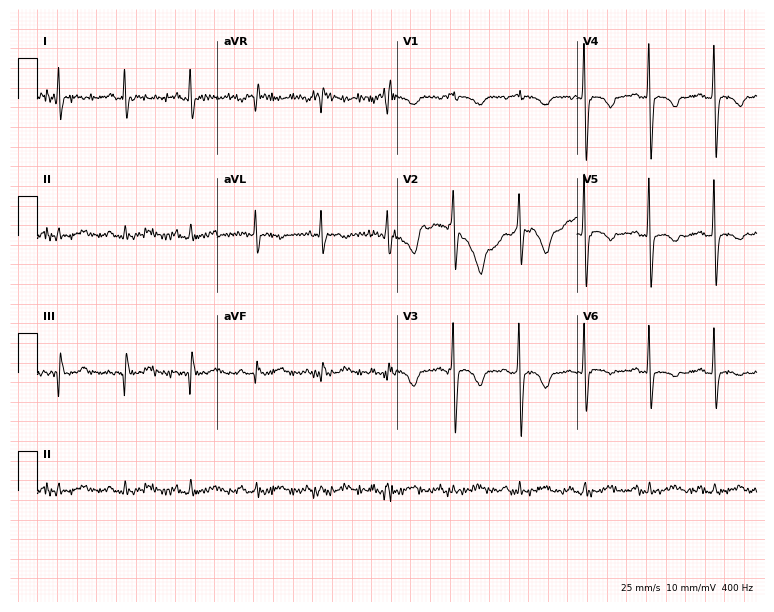
Standard 12-lead ECG recorded from a woman, 54 years old. None of these six findings is recorded: first-degree AV block, right bundle branch block, left bundle branch block, sinus bradycardia, atrial fibrillation, sinus tachycardia.